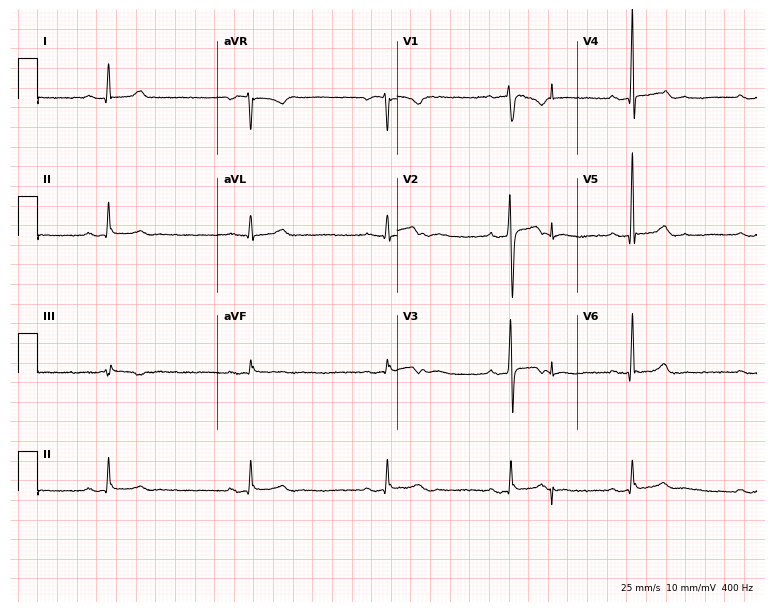
Electrocardiogram (7.3-second recording at 400 Hz), a man, 26 years old. Interpretation includes sinus bradycardia (a sinus rate of 50 beats per minute or less).